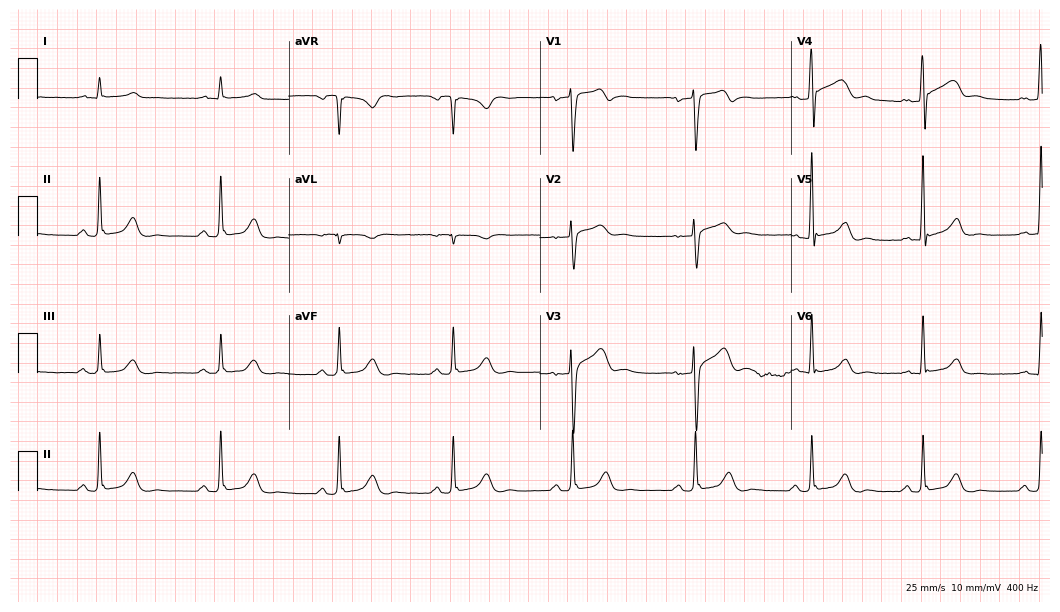
Standard 12-lead ECG recorded from a 34-year-old female (10.2-second recording at 400 Hz). Read as a normal ECG.